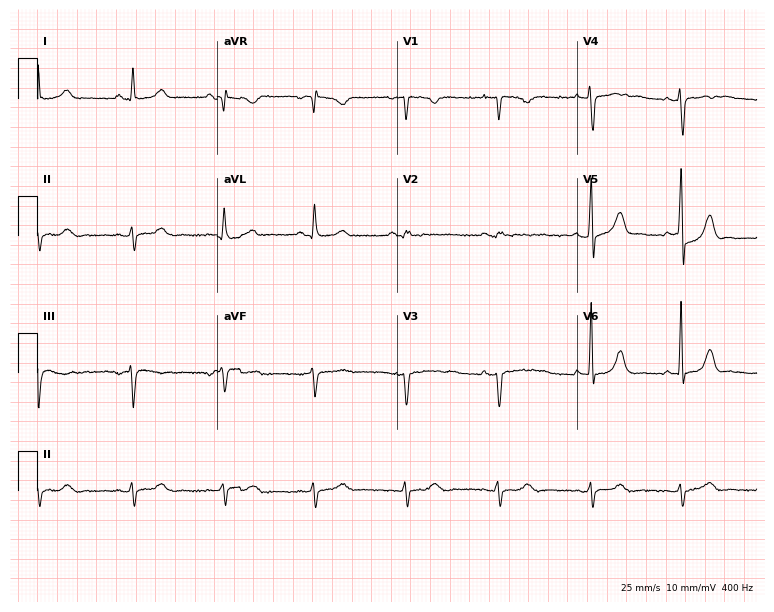
12-lead ECG from a 30-year-old man. Screened for six findings — first-degree AV block, right bundle branch block, left bundle branch block, sinus bradycardia, atrial fibrillation, sinus tachycardia — none is recorded.